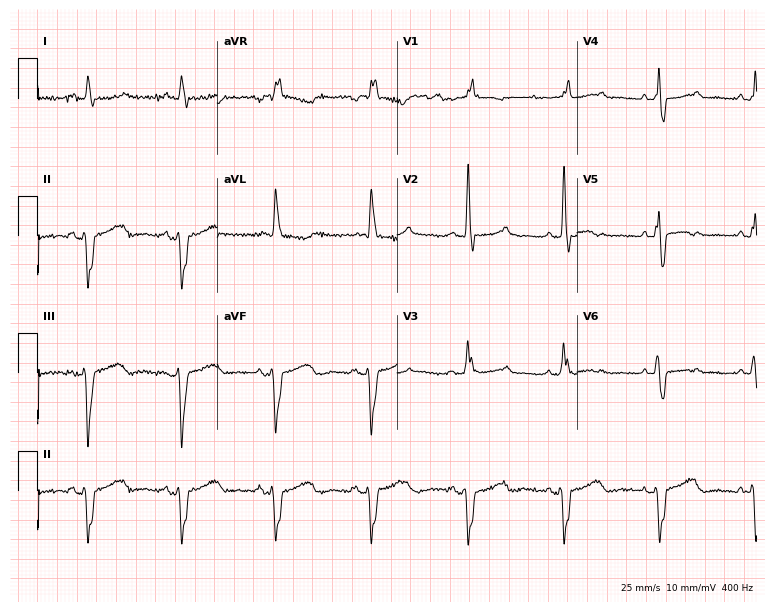
Electrocardiogram (7.3-second recording at 400 Hz), a 64-year-old female. Of the six screened findings (first-degree AV block, right bundle branch block, left bundle branch block, sinus bradycardia, atrial fibrillation, sinus tachycardia), none is recorded.